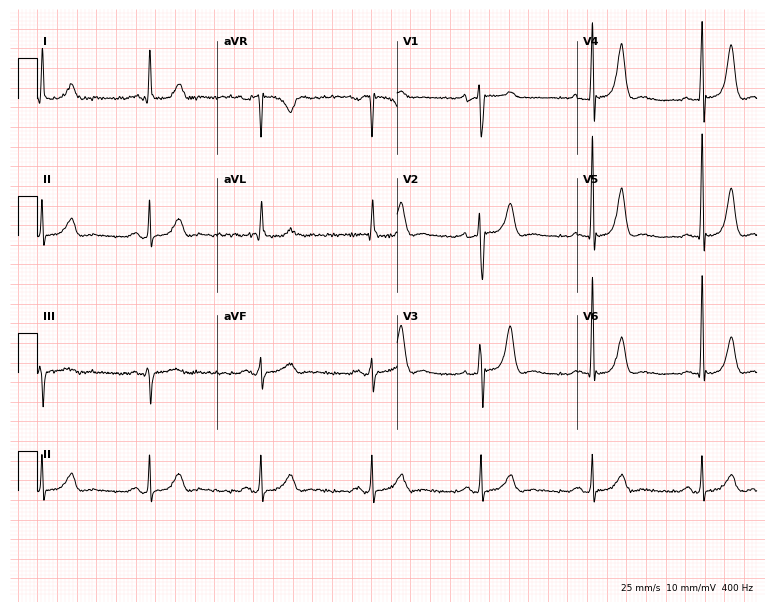
ECG (7.3-second recording at 400 Hz) — a 76-year-old man. Screened for six findings — first-degree AV block, right bundle branch block, left bundle branch block, sinus bradycardia, atrial fibrillation, sinus tachycardia — none is recorded.